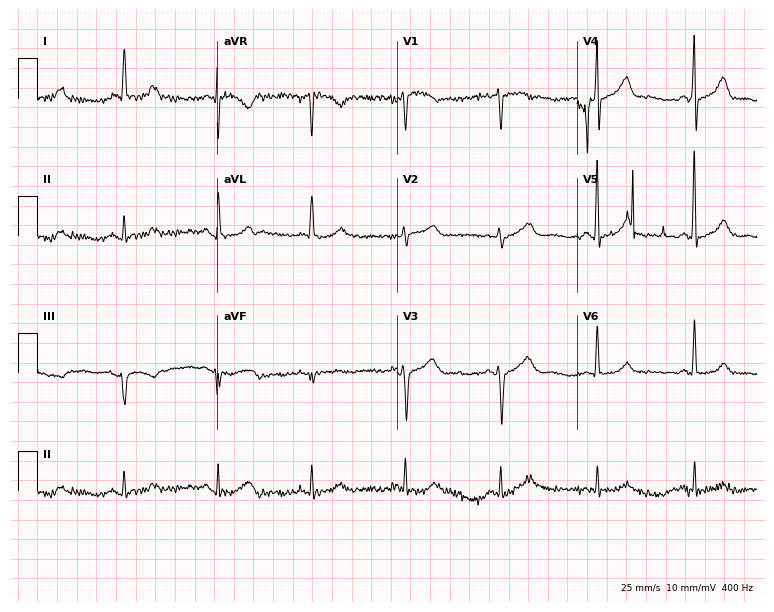
12-lead ECG (7.3-second recording at 400 Hz) from a female patient, 63 years old. Labelled as a normal ECG.